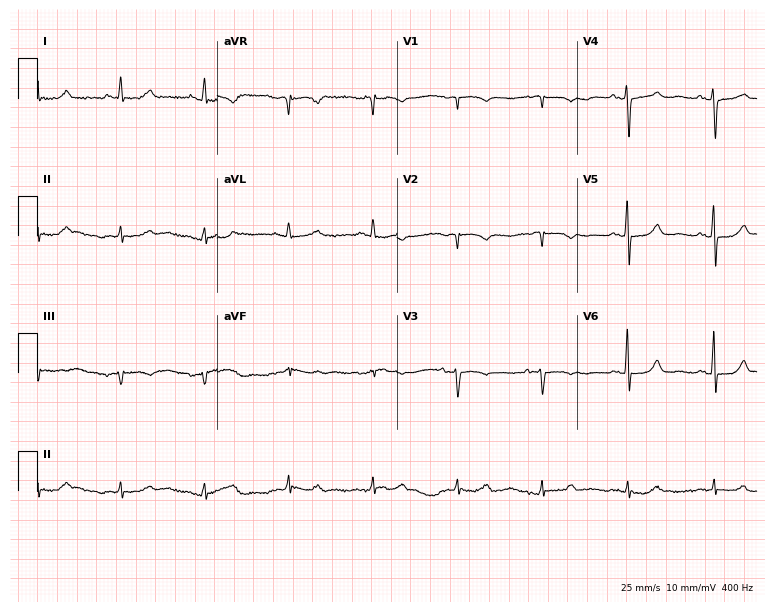
12-lead ECG from a female patient, 72 years old. Screened for six findings — first-degree AV block, right bundle branch block (RBBB), left bundle branch block (LBBB), sinus bradycardia, atrial fibrillation (AF), sinus tachycardia — none is recorded.